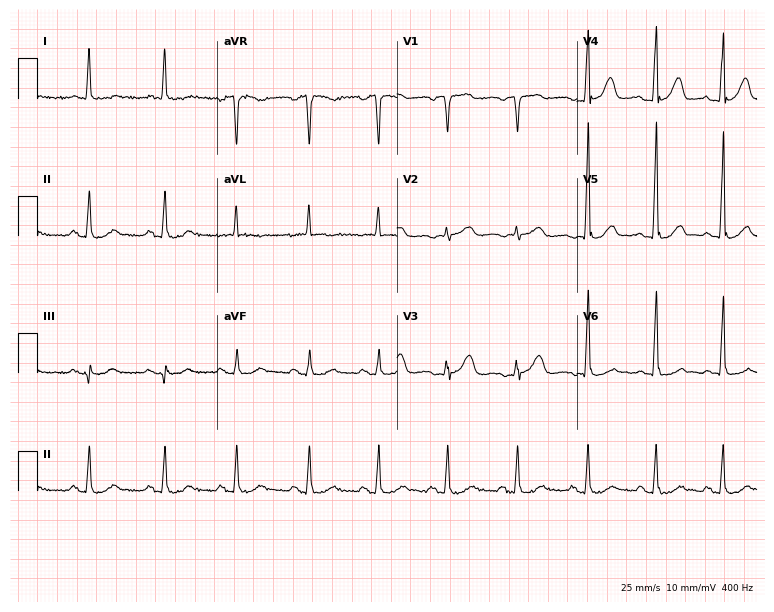
12-lead ECG from a woman, 76 years old. Recorded interpretation: within normal limits.